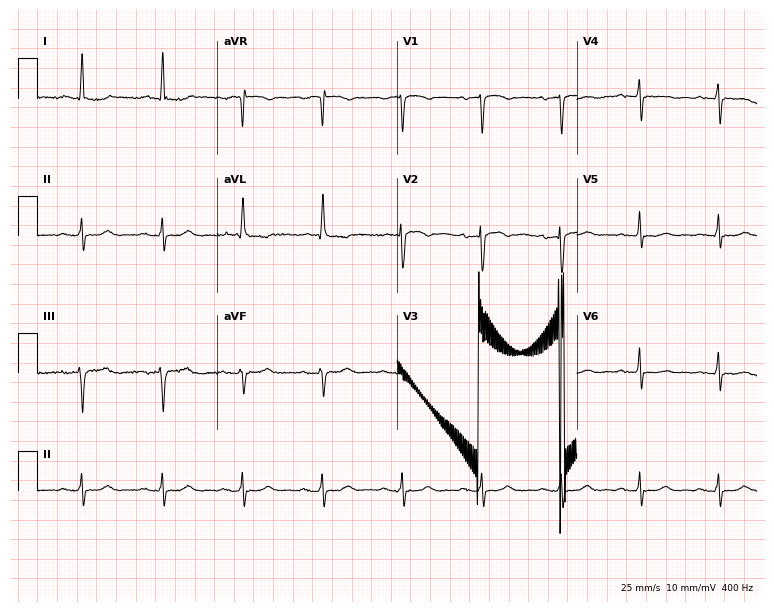
12-lead ECG from an 82-year-old female. No first-degree AV block, right bundle branch block, left bundle branch block, sinus bradycardia, atrial fibrillation or sinus tachycardia recorded for this tracing. Findings outside these six are not listed.